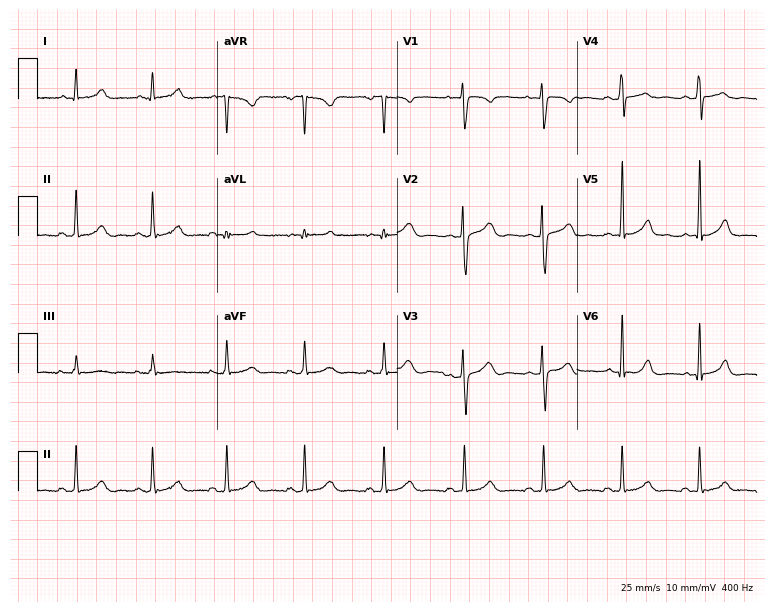
ECG — a 22-year-old female. Labelled as a normal ECG.